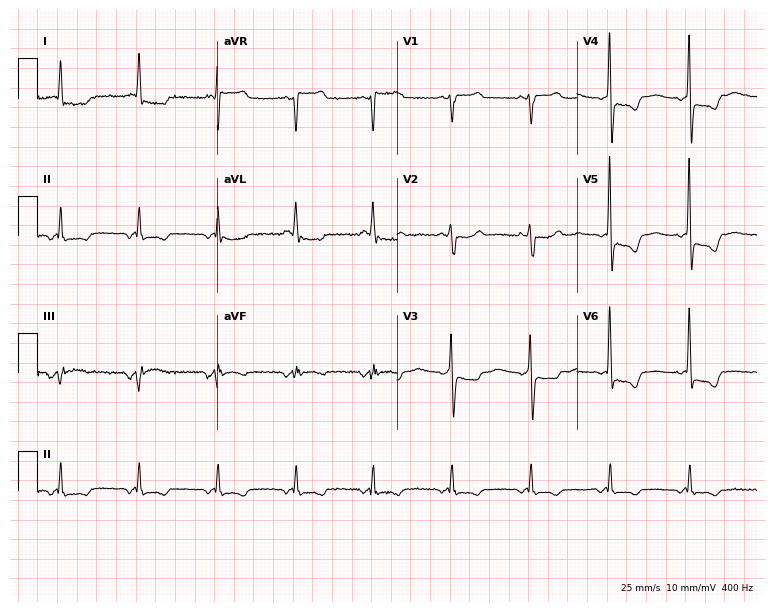
Resting 12-lead electrocardiogram. Patient: a woman, 79 years old. None of these six findings is recorded: first-degree AV block, right bundle branch block (RBBB), left bundle branch block (LBBB), sinus bradycardia, atrial fibrillation (AF), sinus tachycardia. Only these six findings were labelled.